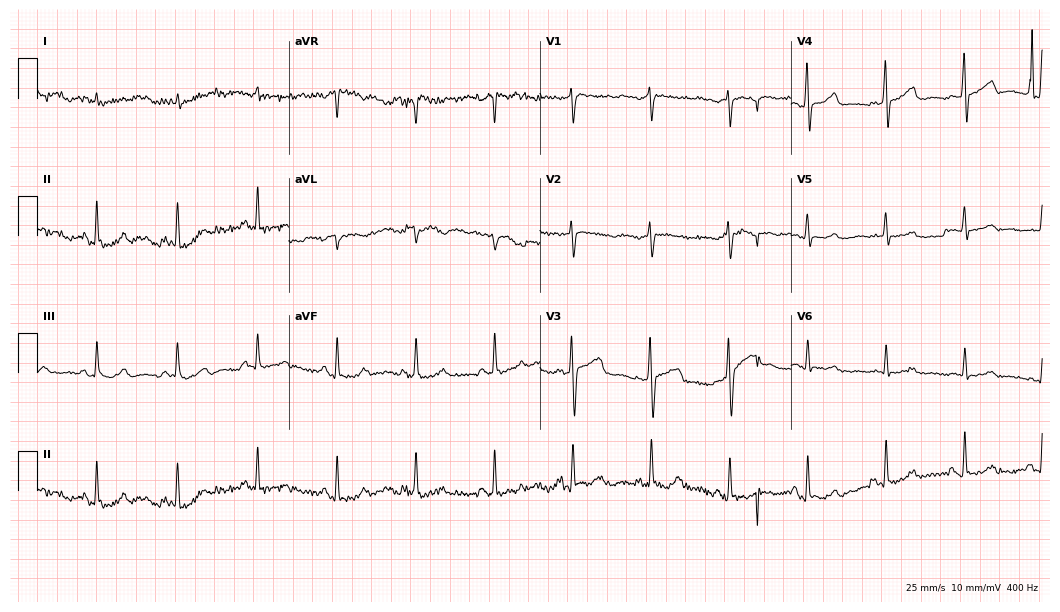
Resting 12-lead electrocardiogram. Patient: a man, 76 years old. Read as a normal ECG.